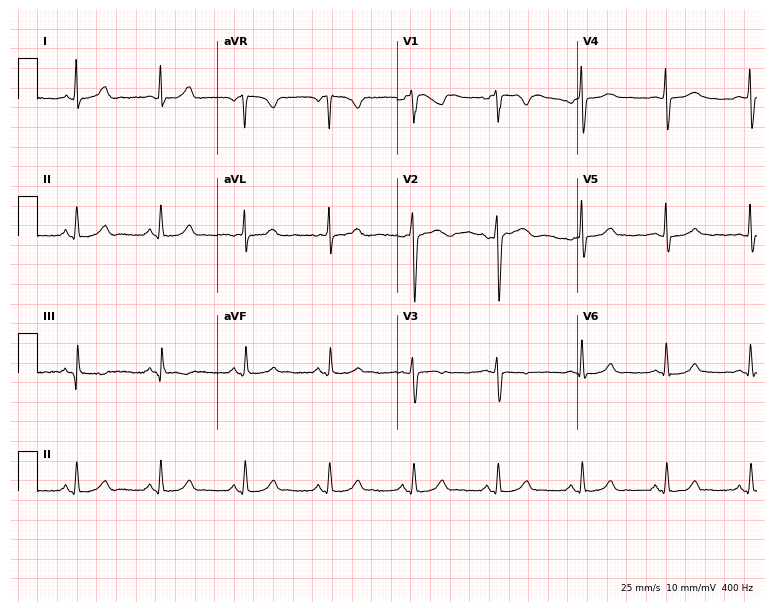
Standard 12-lead ECG recorded from a 42-year-old female (7.3-second recording at 400 Hz). Read as a normal ECG.